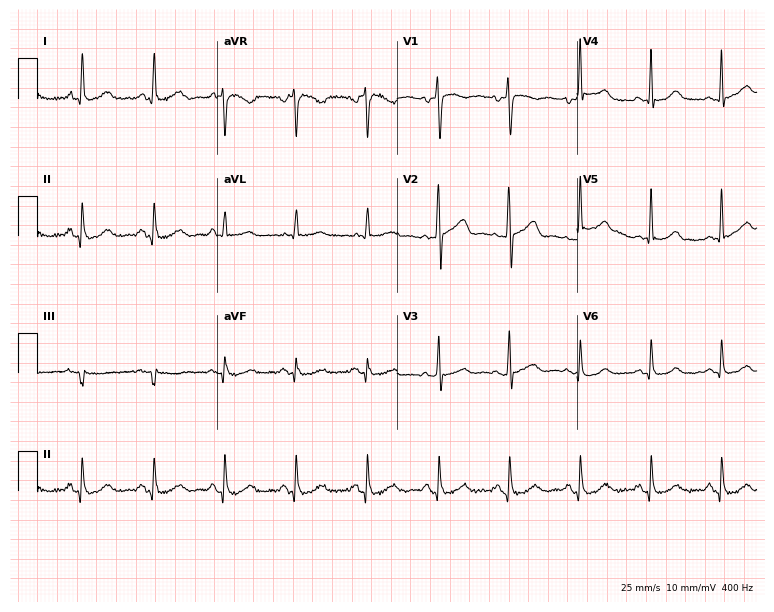
Resting 12-lead electrocardiogram (7.3-second recording at 400 Hz). Patient: a 46-year-old woman. None of these six findings is recorded: first-degree AV block, right bundle branch block (RBBB), left bundle branch block (LBBB), sinus bradycardia, atrial fibrillation (AF), sinus tachycardia. Findings outside these six are not listed.